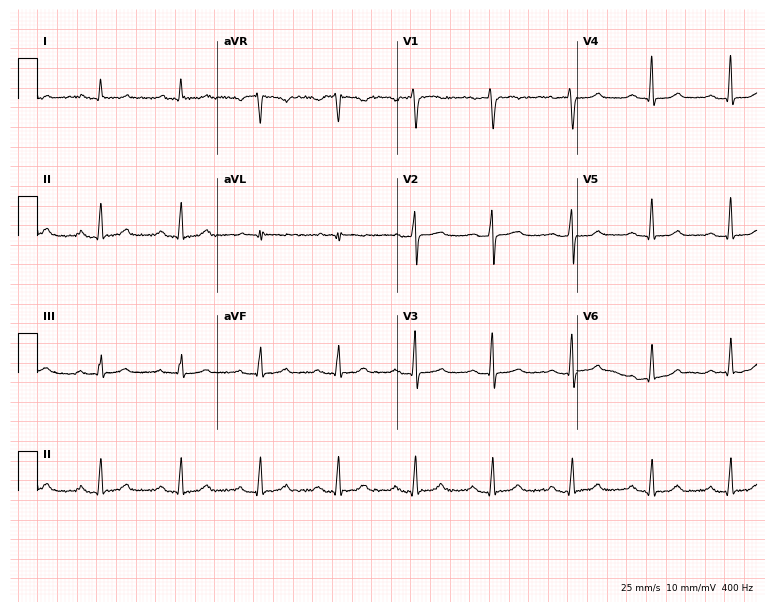
ECG (7.3-second recording at 400 Hz) — a female patient, 45 years old. Screened for six findings — first-degree AV block, right bundle branch block, left bundle branch block, sinus bradycardia, atrial fibrillation, sinus tachycardia — none is recorded.